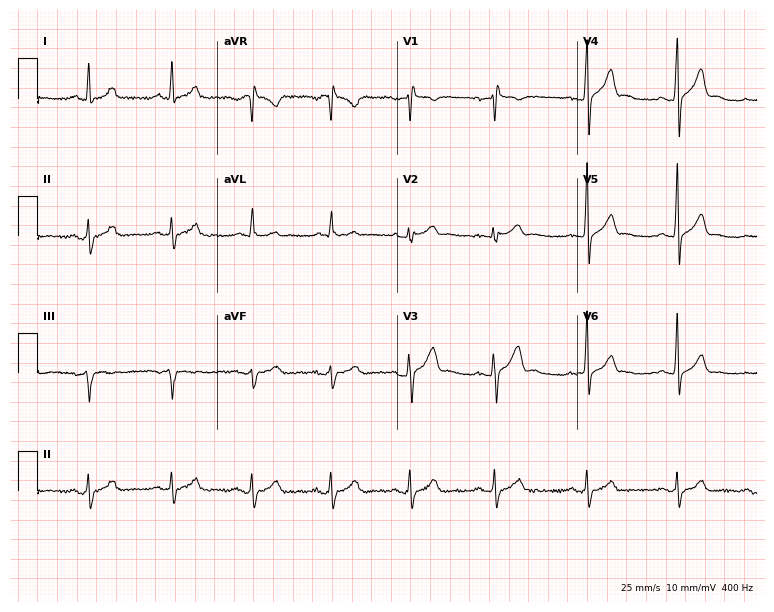
12-lead ECG from a male, 28 years old. Screened for six findings — first-degree AV block, right bundle branch block (RBBB), left bundle branch block (LBBB), sinus bradycardia, atrial fibrillation (AF), sinus tachycardia — none is recorded. Findings outside these six are not listed.